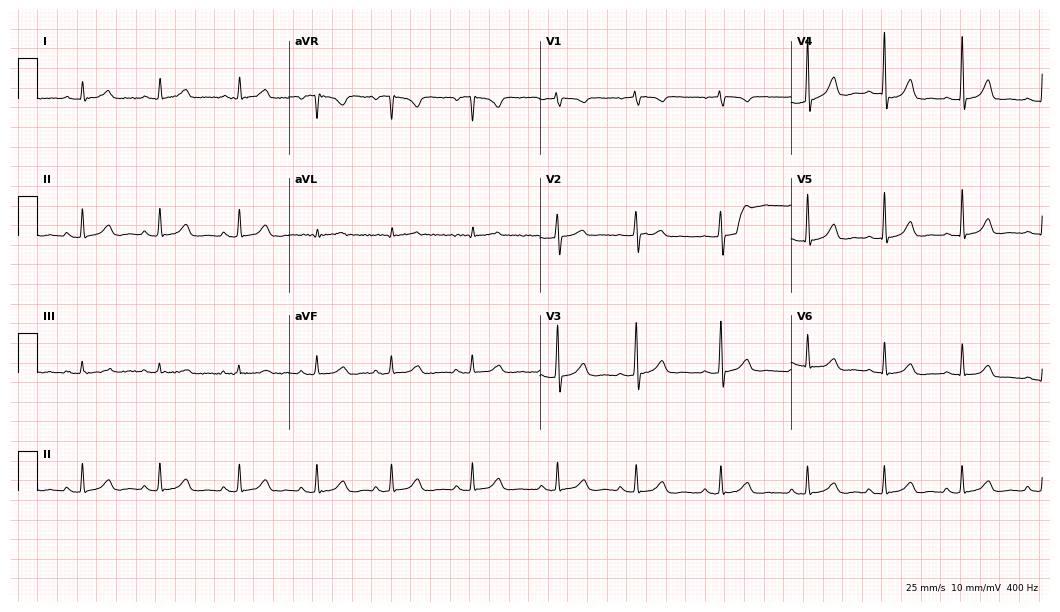
Resting 12-lead electrocardiogram (10.2-second recording at 400 Hz). Patient: a 47-year-old woman. None of these six findings is recorded: first-degree AV block, right bundle branch block, left bundle branch block, sinus bradycardia, atrial fibrillation, sinus tachycardia.